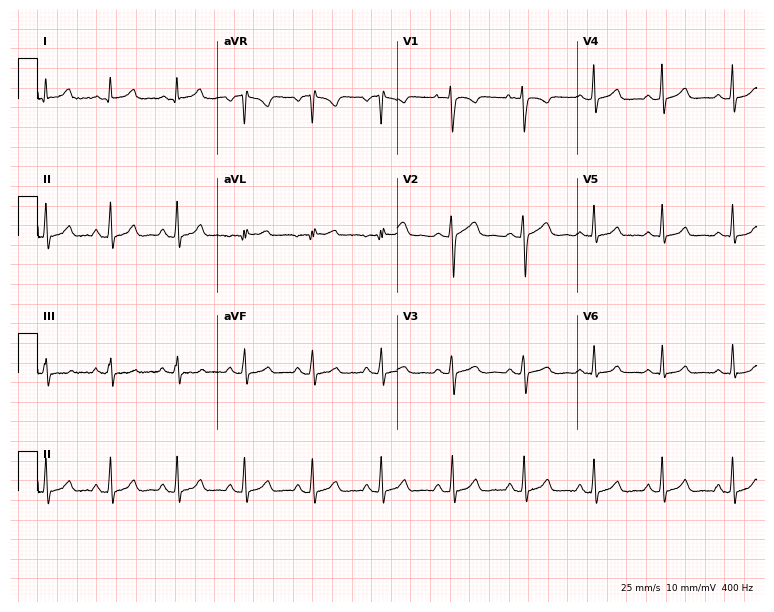
Electrocardiogram, a 19-year-old female patient. Overall reading on record: normal ECG.